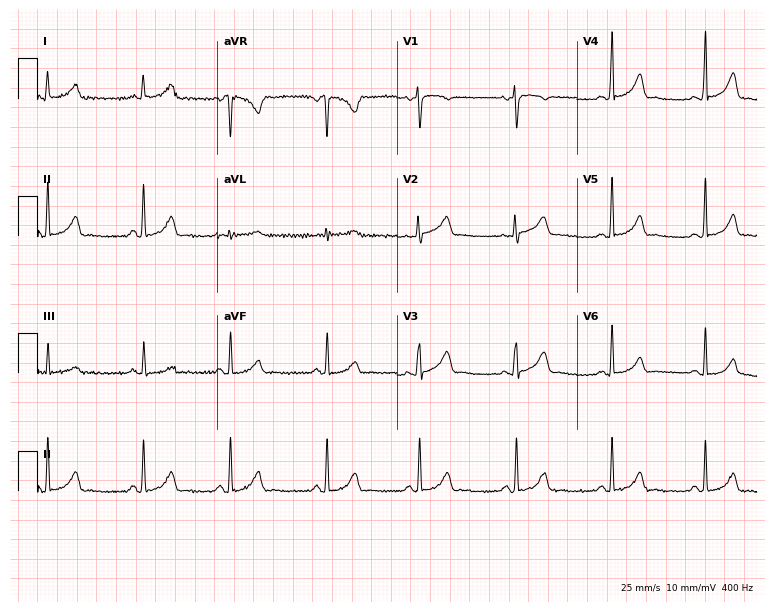
ECG — a woman, 30 years old. Screened for six findings — first-degree AV block, right bundle branch block, left bundle branch block, sinus bradycardia, atrial fibrillation, sinus tachycardia — none is recorded. Other findings, if any, are not listed.